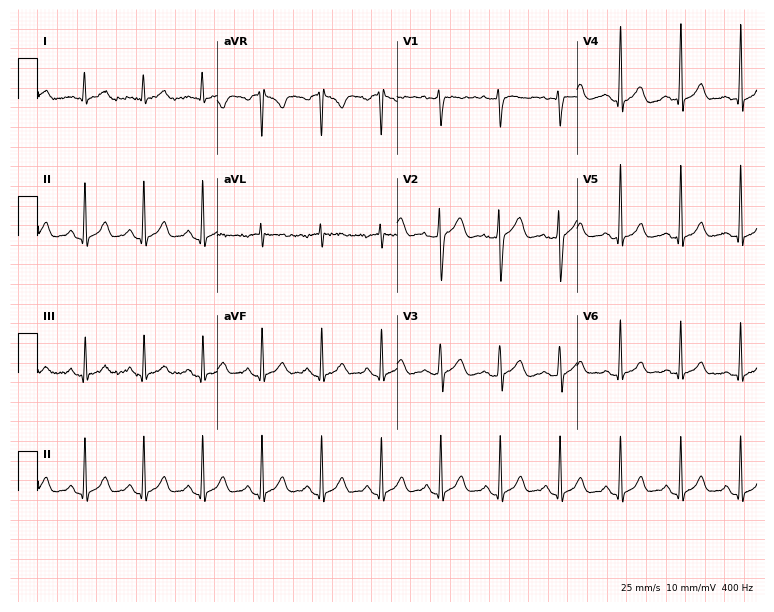
Resting 12-lead electrocardiogram. Patient: a male, 38 years old. None of these six findings is recorded: first-degree AV block, right bundle branch block, left bundle branch block, sinus bradycardia, atrial fibrillation, sinus tachycardia. Findings outside these six are not listed.